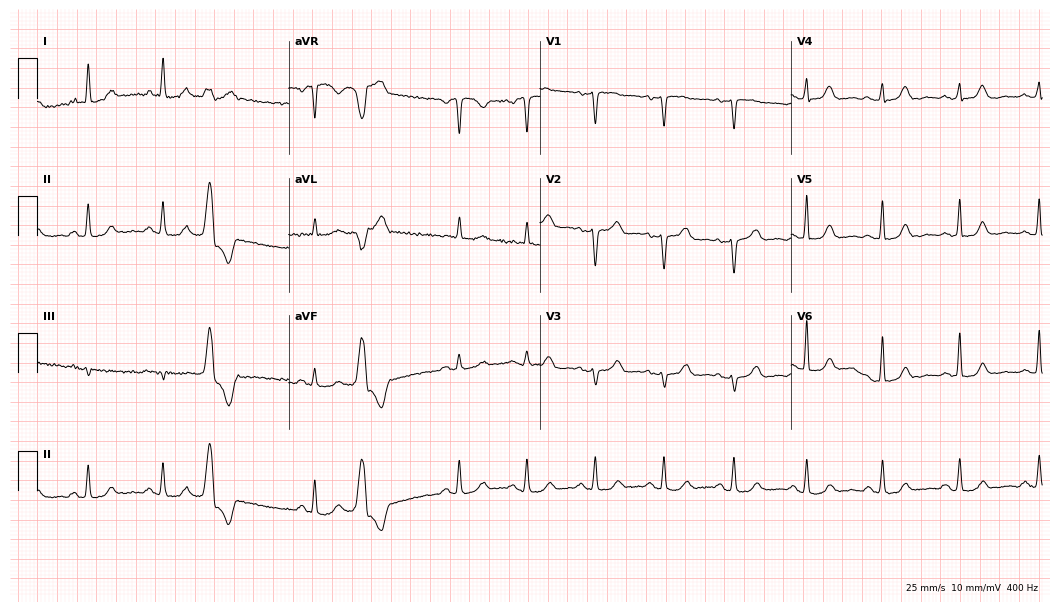
Resting 12-lead electrocardiogram. Patient: a 76-year-old female. None of these six findings is recorded: first-degree AV block, right bundle branch block, left bundle branch block, sinus bradycardia, atrial fibrillation, sinus tachycardia. Findings outside these six are not listed.